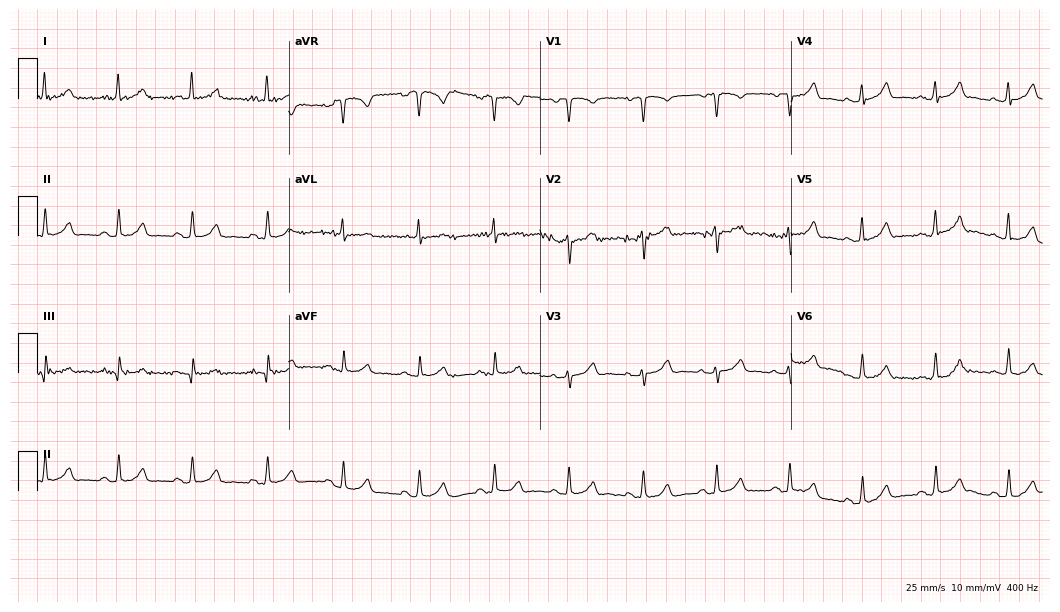
Standard 12-lead ECG recorded from a 69-year-old female (10.2-second recording at 400 Hz). Read as a normal ECG.